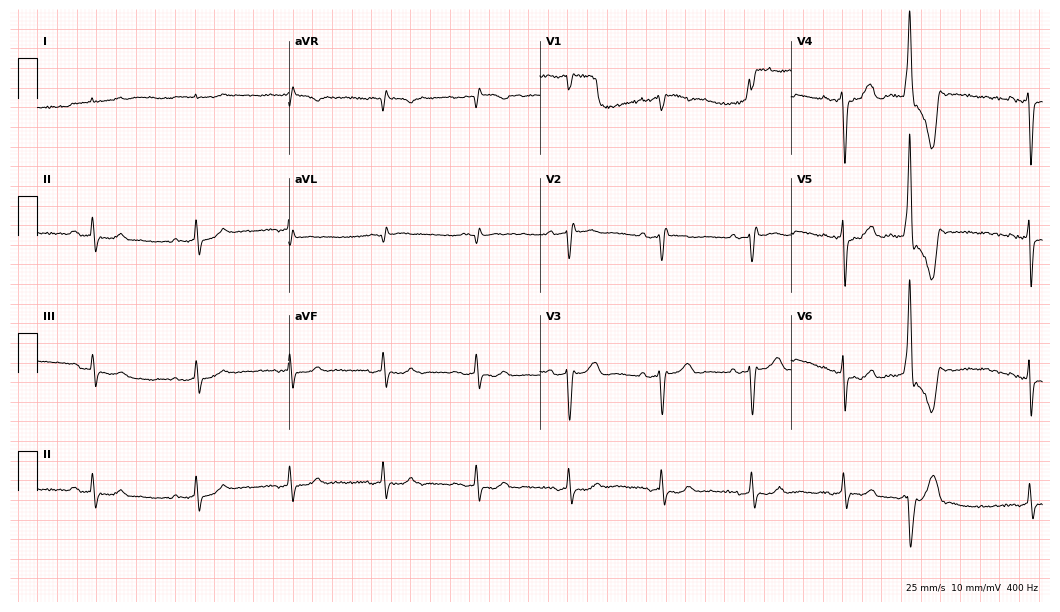
ECG (10.2-second recording at 400 Hz) — an 84-year-old man. Screened for six findings — first-degree AV block, right bundle branch block (RBBB), left bundle branch block (LBBB), sinus bradycardia, atrial fibrillation (AF), sinus tachycardia — none is recorded. Only these six findings were labelled.